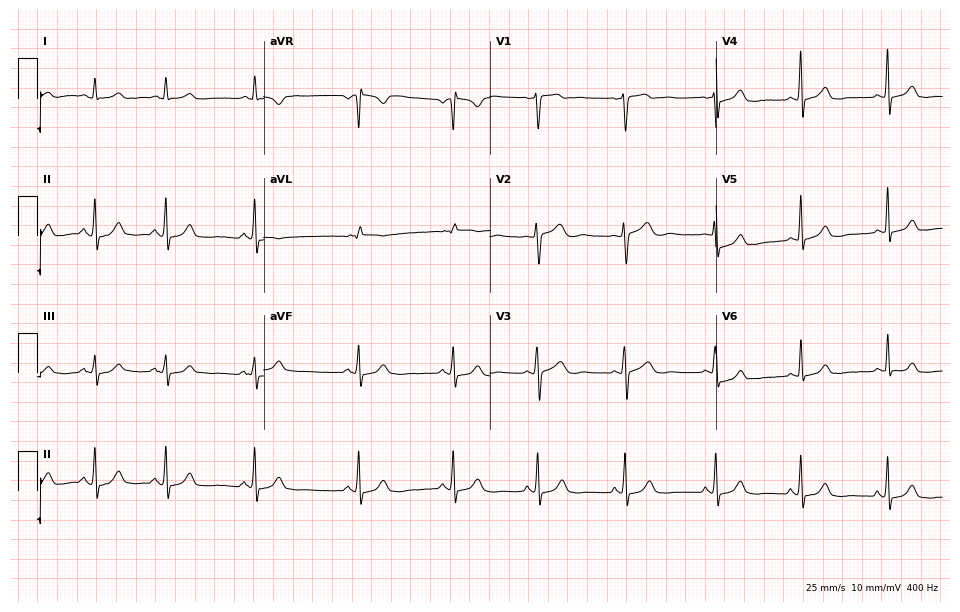
Resting 12-lead electrocardiogram. Patient: a woman, 32 years old. Read as a normal ECG.